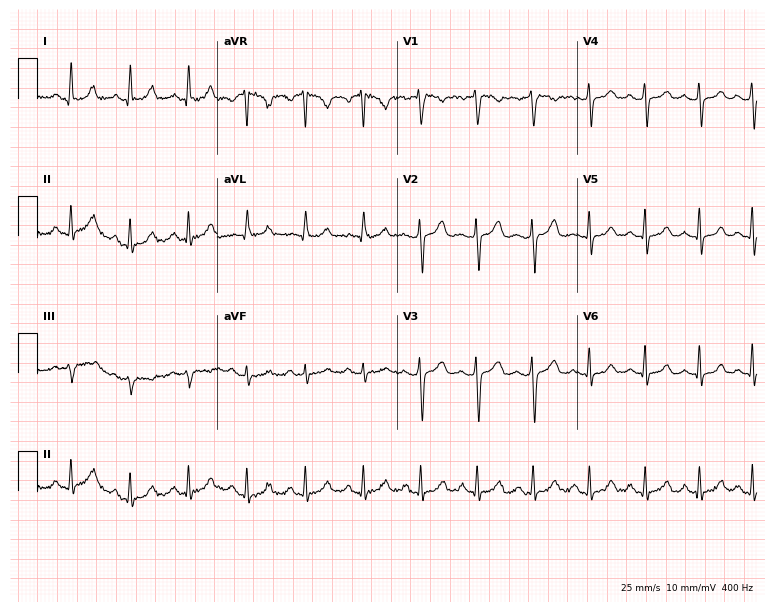
Resting 12-lead electrocardiogram. Patient: a 39-year-old woman. The tracing shows sinus tachycardia (a sinus rate of 100 beats per minute or more).